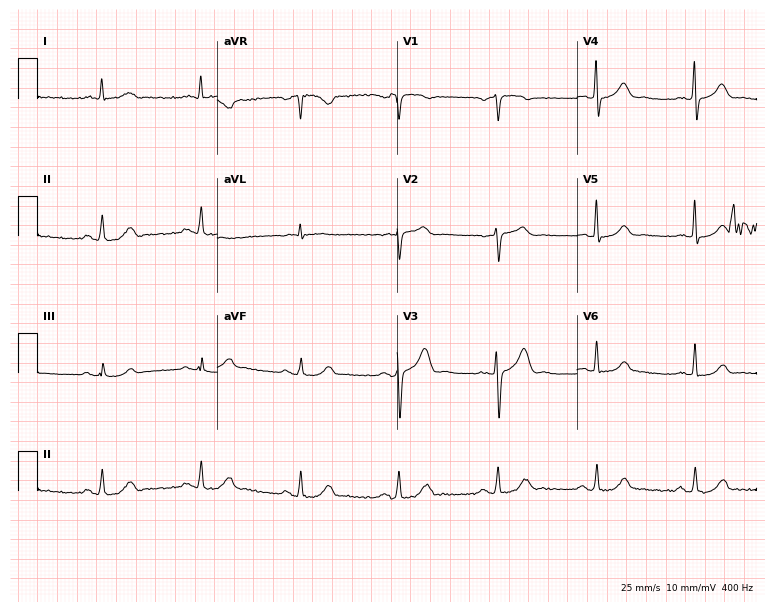
12-lead ECG (7.3-second recording at 400 Hz) from a male patient, 67 years old. Screened for six findings — first-degree AV block, right bundle branch block, left bundle branch block, sinus bradycardia, atrial fibrillation, sinus tachycardia — none is recorded. Findings outside these six are not listed.